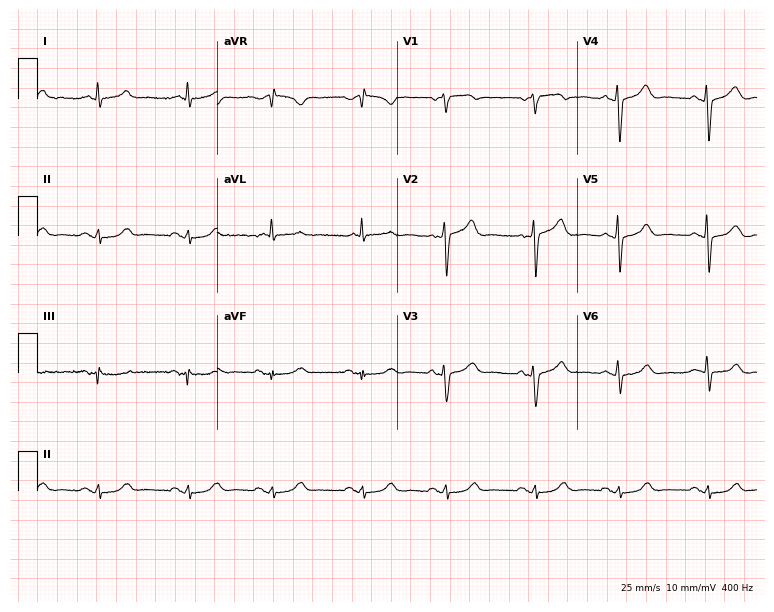
12-lead ECG from a 75-year-old male. Screened for six findings — first-degree AV block, right bundle branch block (RBBB), left bundle branch block (LBBB), sinus bradycardia, atrial fibrillation (AF), sinus tachycardia — none is recorded.